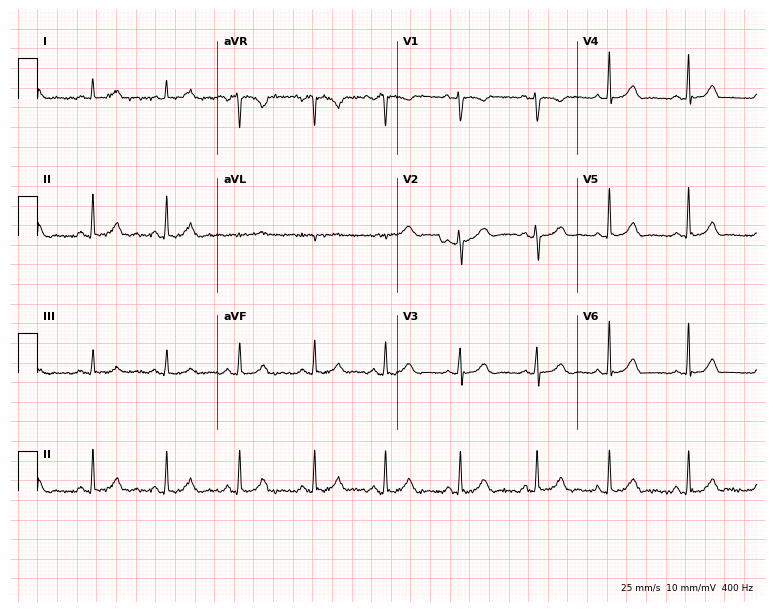
Resting 12-lead electrocardiogram. Patient: a 37-year-old woman. Read as a normal ECG.